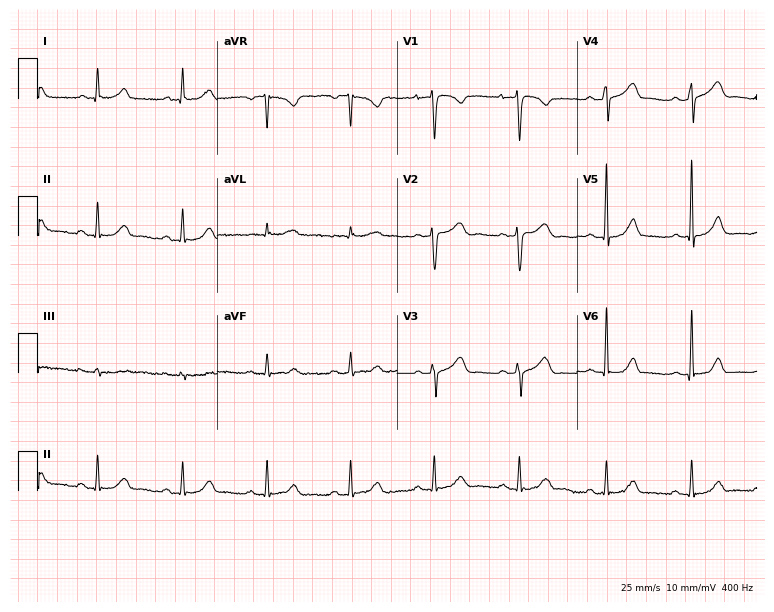
ECG — a female patient, 39 years old. Screened for six findings — first-degree AV block, right bundle branch block, left bundle branch block, sinus bradycardia, atrial fibrillation, sinus tachycardia — none is recorded. Findings outside these six are not listed.